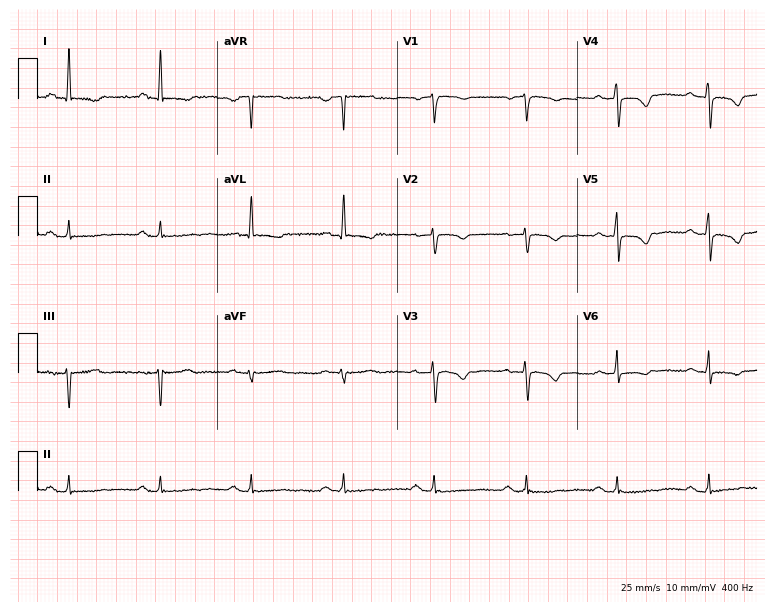
12-lead ECG from a 59-year-old female patient. Screened for six findings — first-degree AV block, right bundle branch block, left bundle branch block, sinus bradycardia, atrial fibrillation, sinus tachycardia — none is recorded. Findings outside these six are not listed.